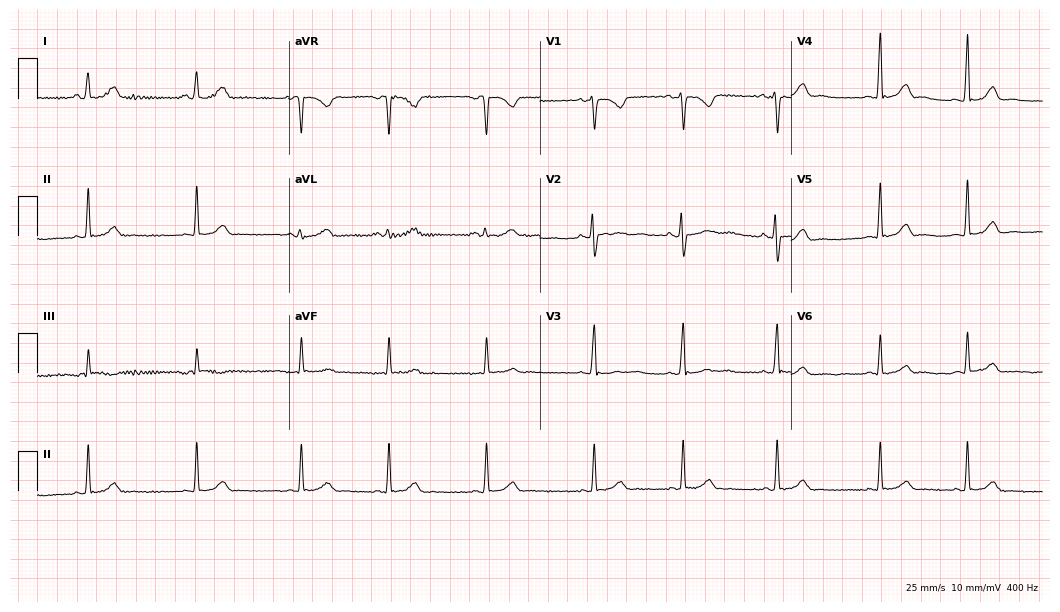
Resting 12-lead electrocardiogram (10.2-second recording at 400 Hz). Patient: a 26-year-old female. Read as a normal ECG.